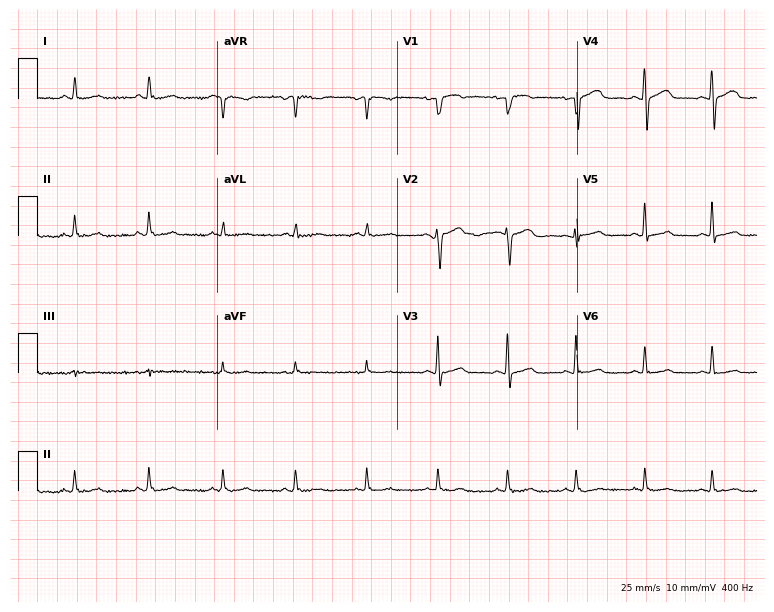
Standard 12-lead ECG recorded from a 37-year-old female patient (7.3-second recording at 400 Hz). None of these six findings is recorded: first-degree AV block, right bundle branch block, left bundle branch block, sinus bradycardia, atrial fibrillation, sinus tachycardia.